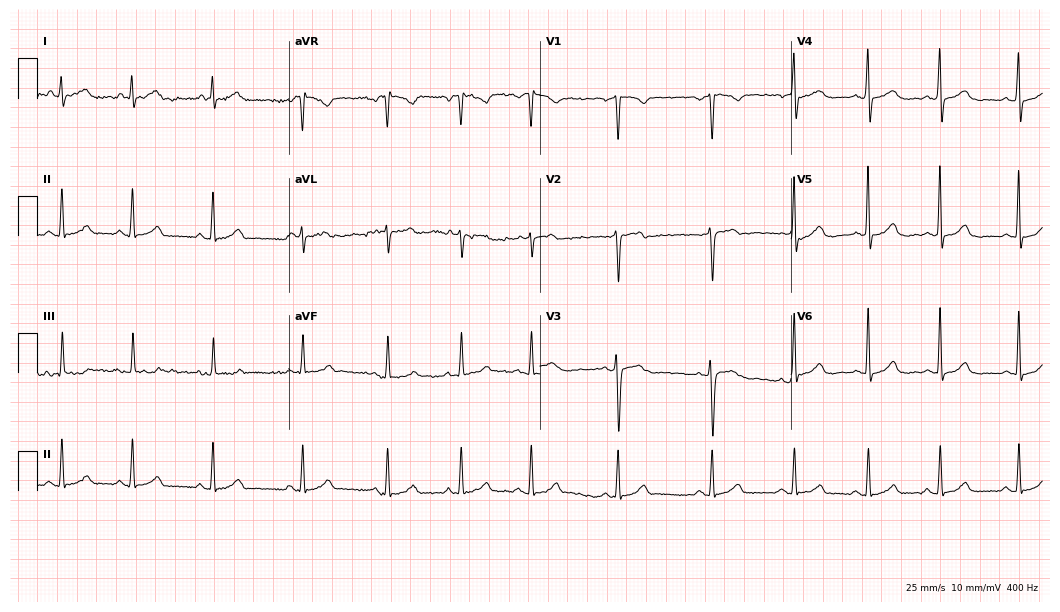
12-lead ECG (10.2-second recording at 400 Hz) from a woman, 42 years old. Labelled as a normal ECG.